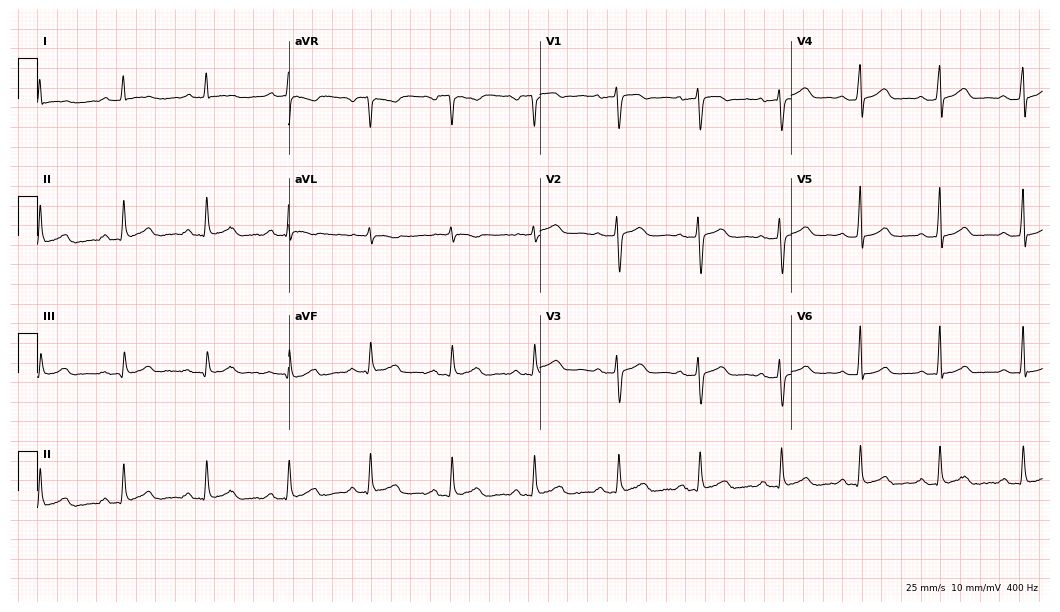
Resting 12-lead electrocardiogram. Patient: a female, 34 years old. Read as a normal ECG.